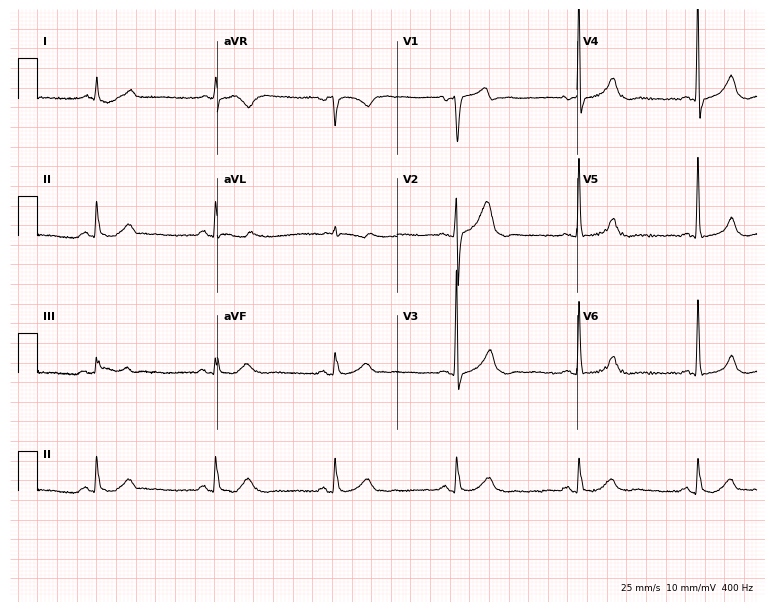
12-lead ECG from a man, 77 years old. Shows sinus bradycardia (a sinus rate of 50 beats per minute or less).